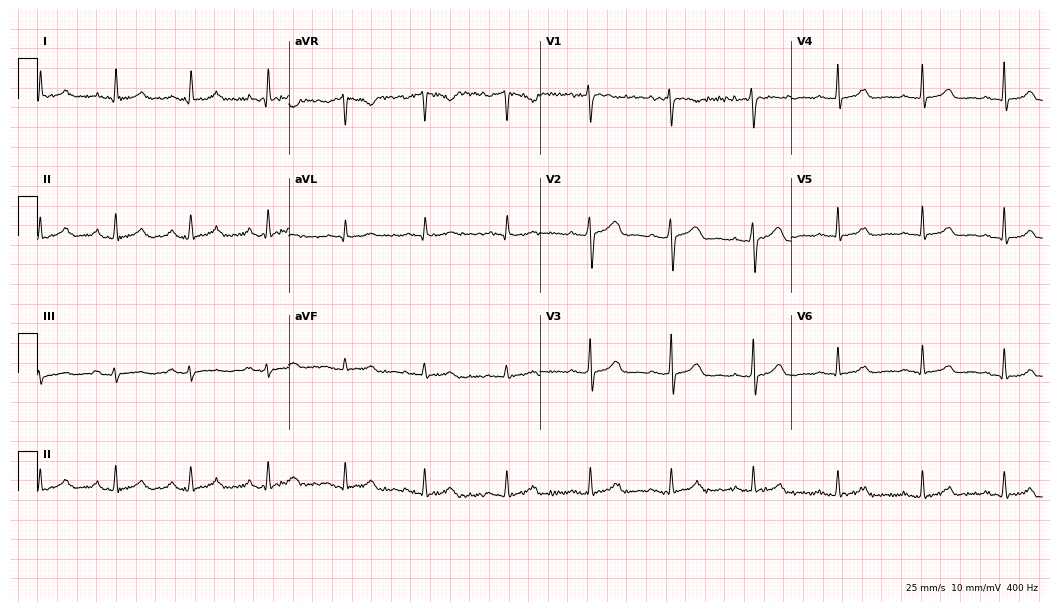
Electrocardiogram, a 40-year-old woman. Of the six screened findings (first-degree AV block, right bundle branch block, left bundle branch block, sinus bradycardia, atrial fibrillation, sinus tachycardia), none is recorded. Findings outside these six are not listed.